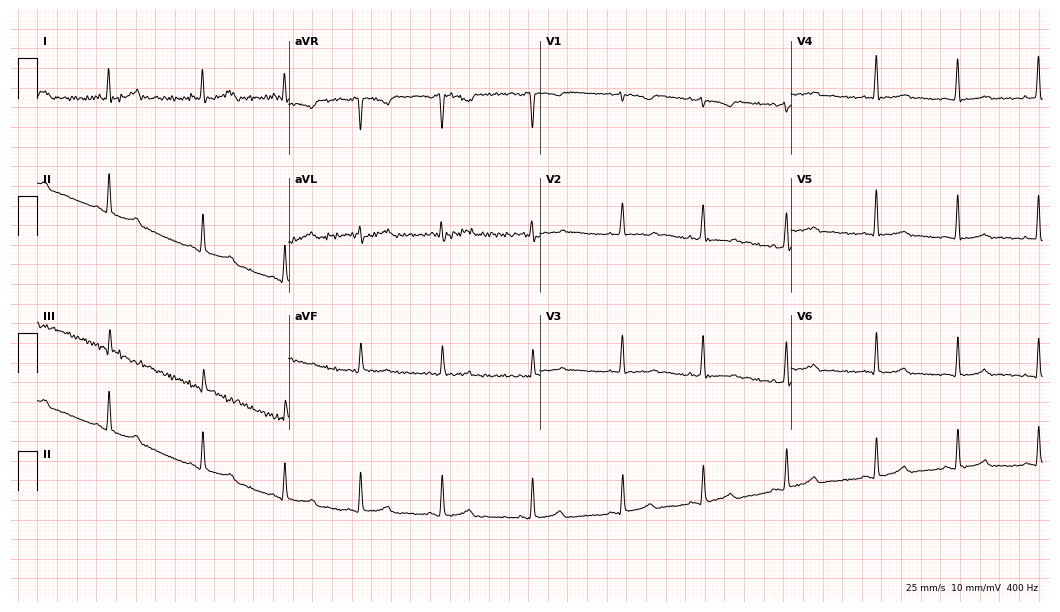
12-lead ECG from a female patient, 26 years old. No first-degree AV block, right bundle branch block (RBBB), left bundle branch block (LBBB), sinus bradycardia, atrial fibrillation (AF) or sinus tachycardia recorded for this tracing.